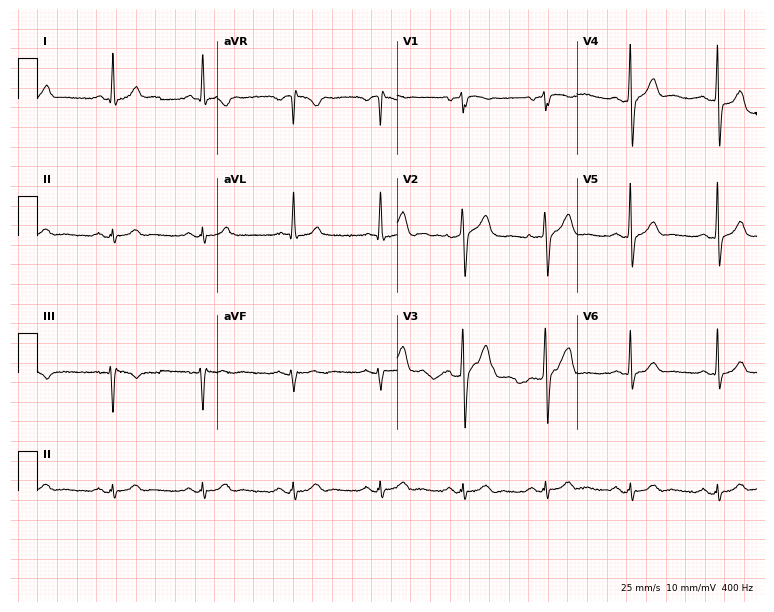
Electrocardiogram, a 56-year-old man. Overall reading on record: normal ECG.